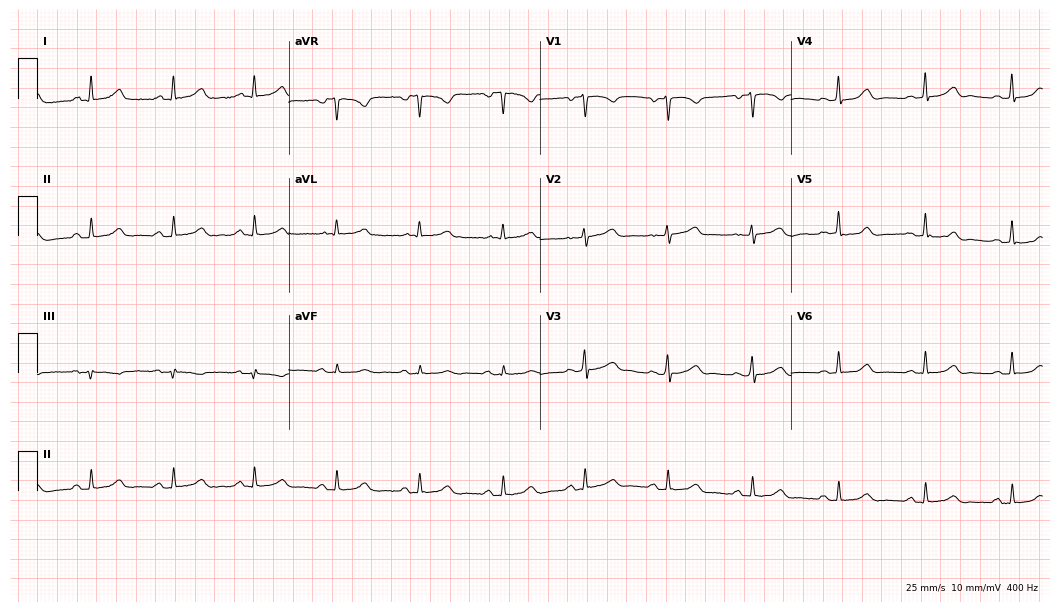
Standard 12-lead ECG recorded from a woman, 45 years old. Read as a normal ECG.